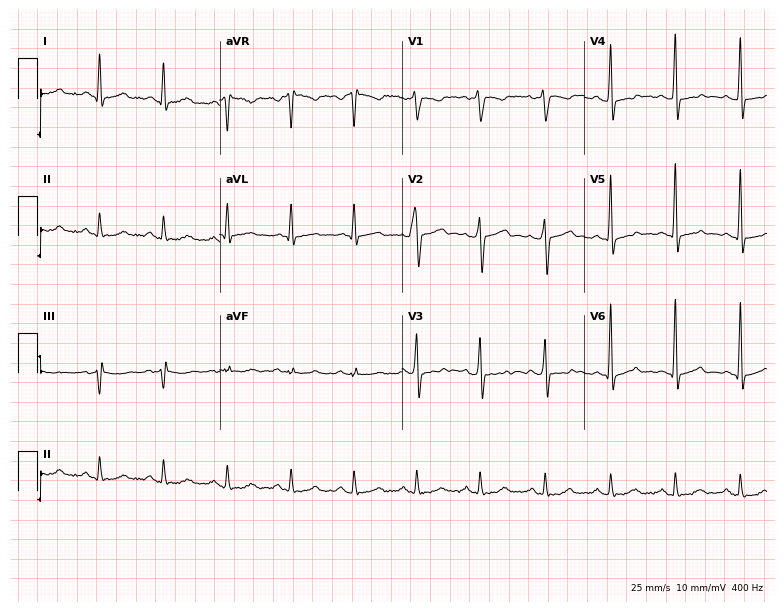
Standard 12-lead ECG recorded from a 38-year-old man (7.4-second recording at 400 Hz). None of these six findings is recorded: first-degree AV block, right bundle branch block (RBBB), left bundle branch block (LBBB), sinus bradycardia, atrial fibrillation (AF), sinus tachycardia. Other findings, if any, are not listed.